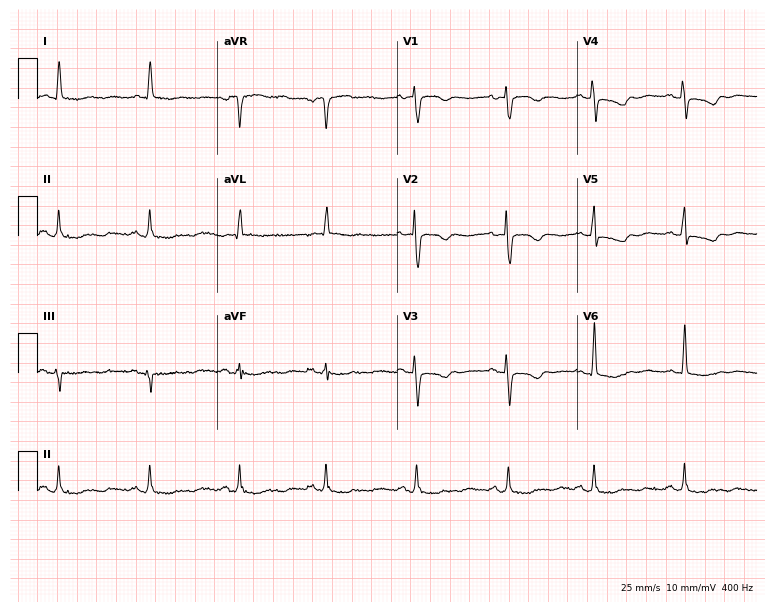
12-lead ECG (7.3-second recording at 400 Hz) from a female, 82 years old. Screened for six findings — first-degree AV block, right bundle branch block (RBBB), left bundle branch block (LBBB), sinus bradycardia, atrial fibrillation (AF), sinus tachycardia — none is recorded.